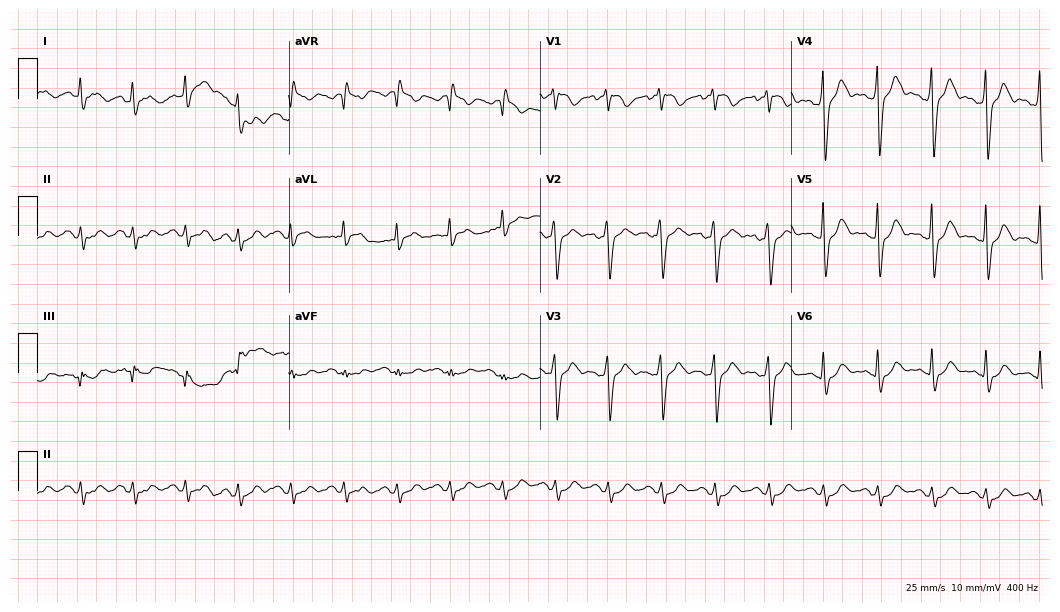
Resting 12-lead electrocardiogram (10.2-second recording at 400 Hz). Patient: a 46-year-old male. The tracing shows sinus tachycardia (a sinus rate of 100 beats per minute or more).